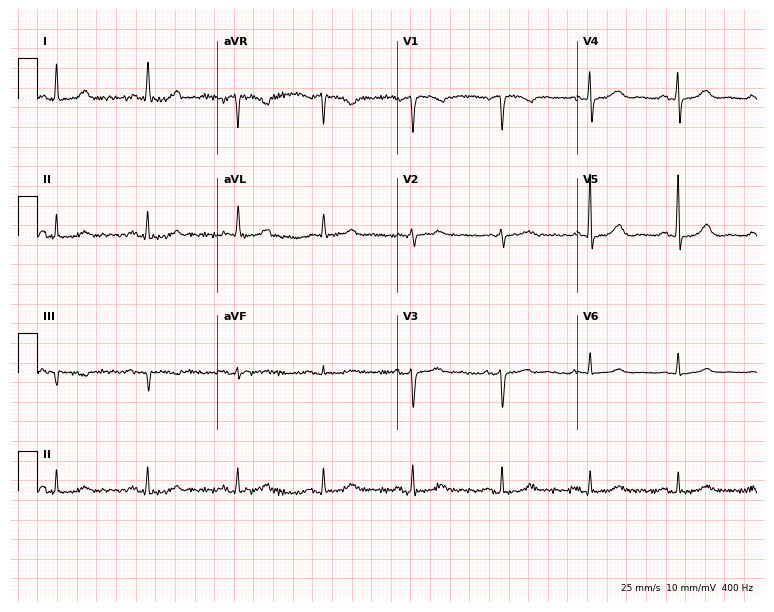
12-lead ECG from a female patient, 79 years old. Recorded interpretation: within normal limits.